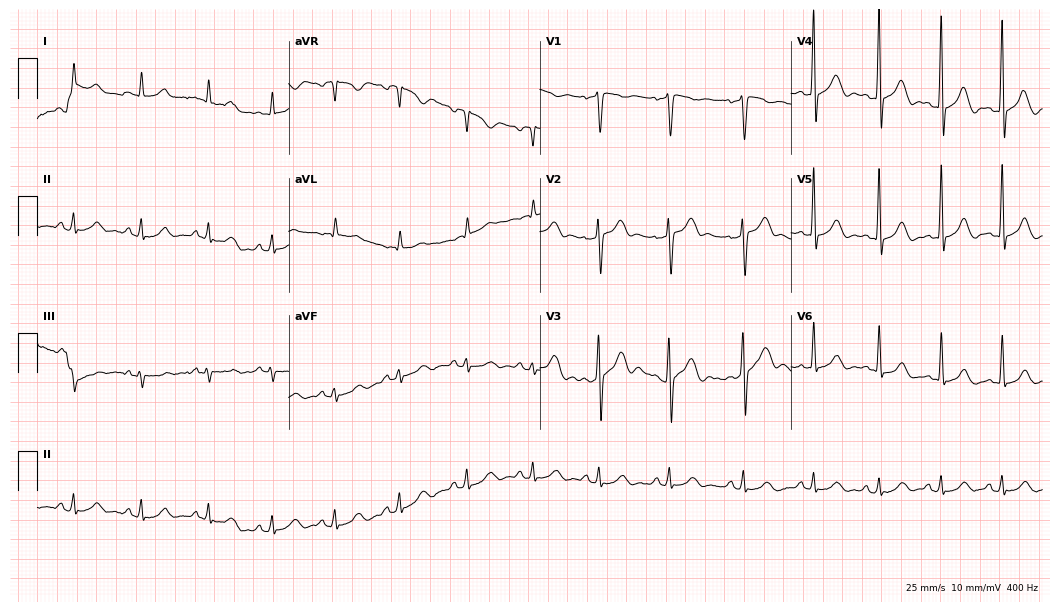
Resting 12-lead electrocardiogram. Patient: a 56-year-old male. Read as a normal ECG.